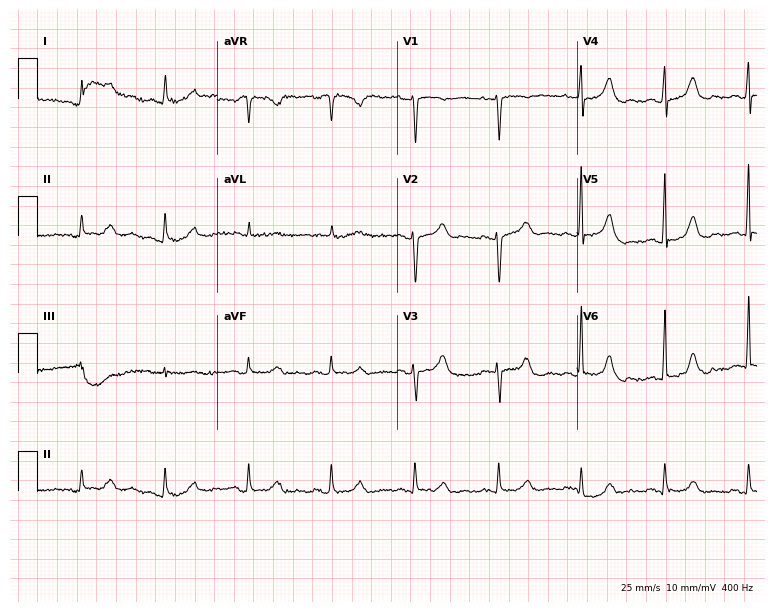
Resting 12-lead electrocardiogram (7.3-second recording at 400 Hz). Patient: a 72-year-old woman. None of these six findings is recorded: first-degree AV block, right bundle branch block (RBBB), left bundle branch block (LBBB), sinus bradycardia, atrial fibrillation (AF), sinus tachycardia.